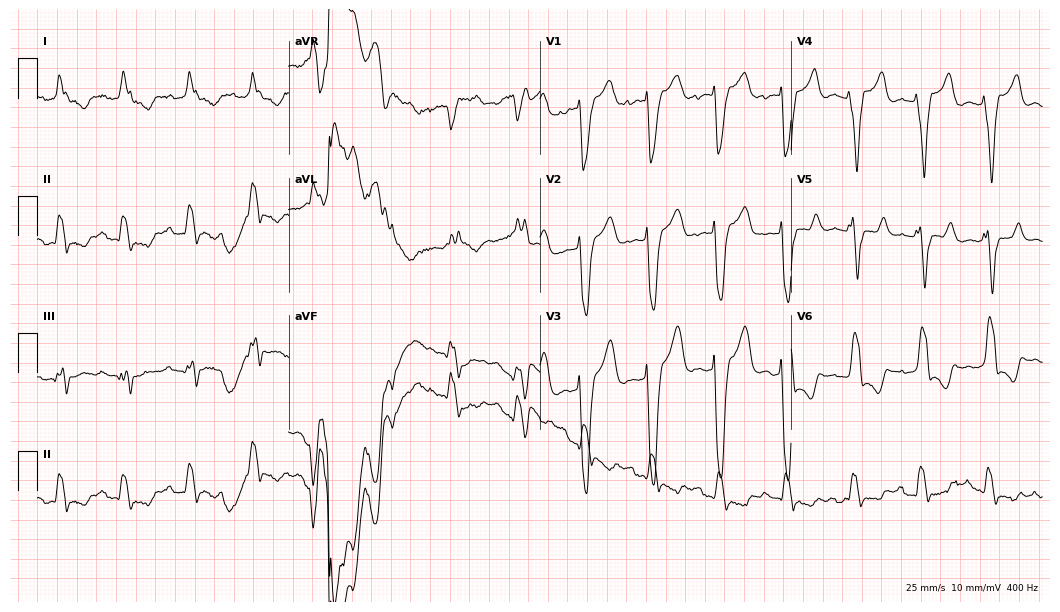
ECG (10.2-second recording at 400 Hz) — a man, 75 years old. Screened for six findings — first-degree AV block, right bundle branch block, left bundle branch block, sinus bradycardia, atrial fibrillation, sinus tachycardia — none is recorded.